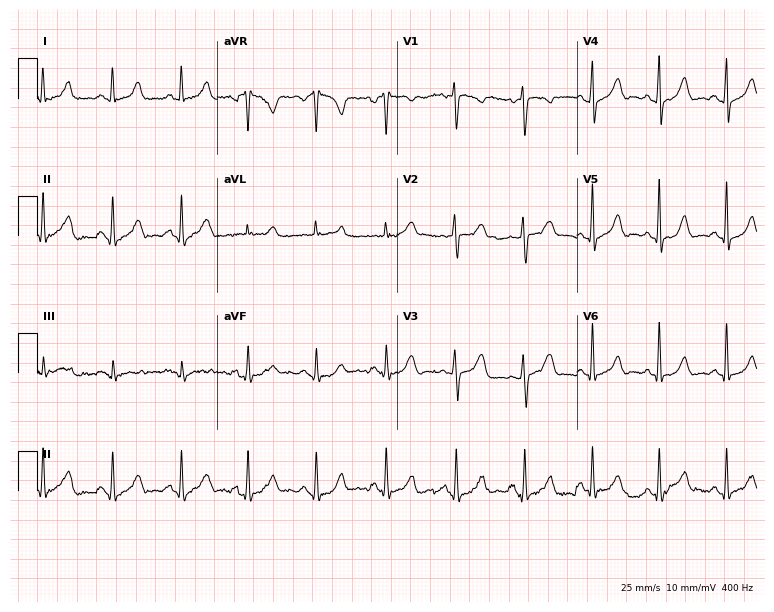
ECG — a 24-year-old female. Labelled as a normal ECG.